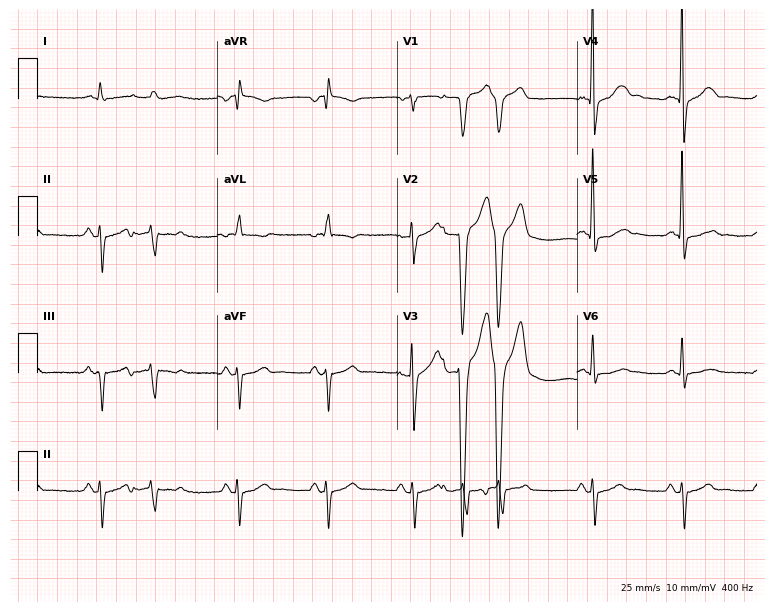
Standard 12-lead ECG recorded from a 75-year-old male patient (7.3-second recording at 400 Hz). None of these six findings is recorded: first-degree AV block, right bundle branch block (RBBB), left bundle branch block (LBBB), sinus bradycardia, atrial fibrillation (AF), sinus tachycardia.